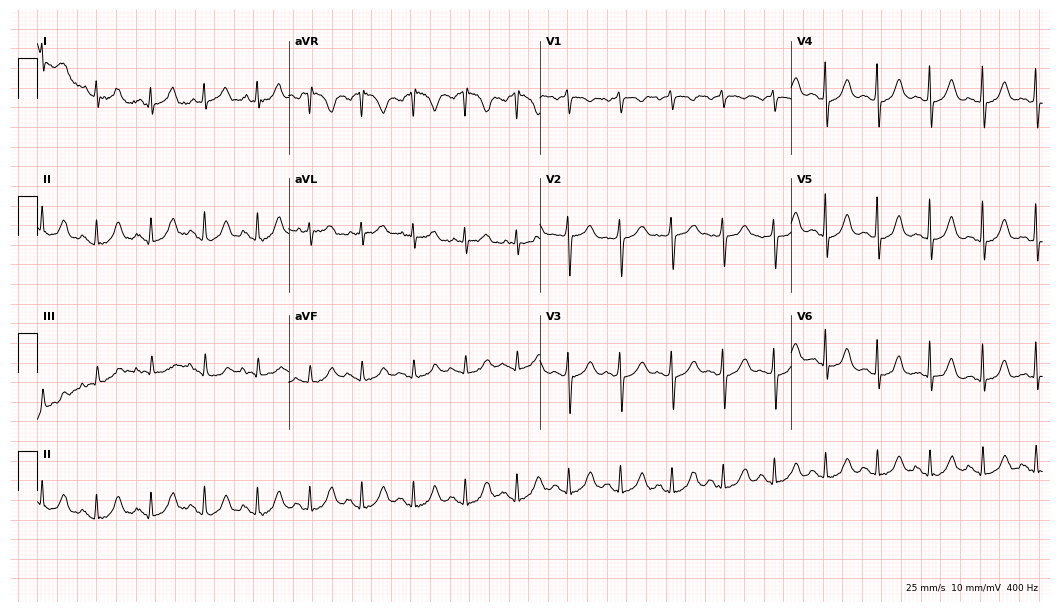
ECG (10.2-second recording at 400 Hz) — a 54-year-old female patient. Screened for six findings — first-degree AV block, right bundle branch block, left bundle branch block, sinus bradycardia, atrial fibrillation, sinus tachycardia — none is recorded.